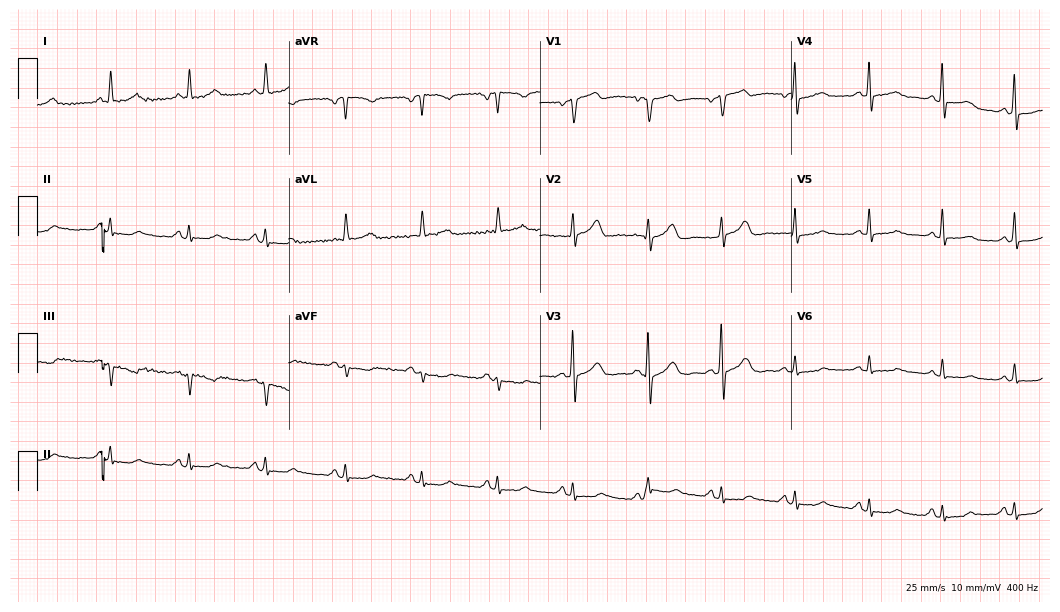
ECG — an 82-year-old male patient. Labelled as a normal ECG.